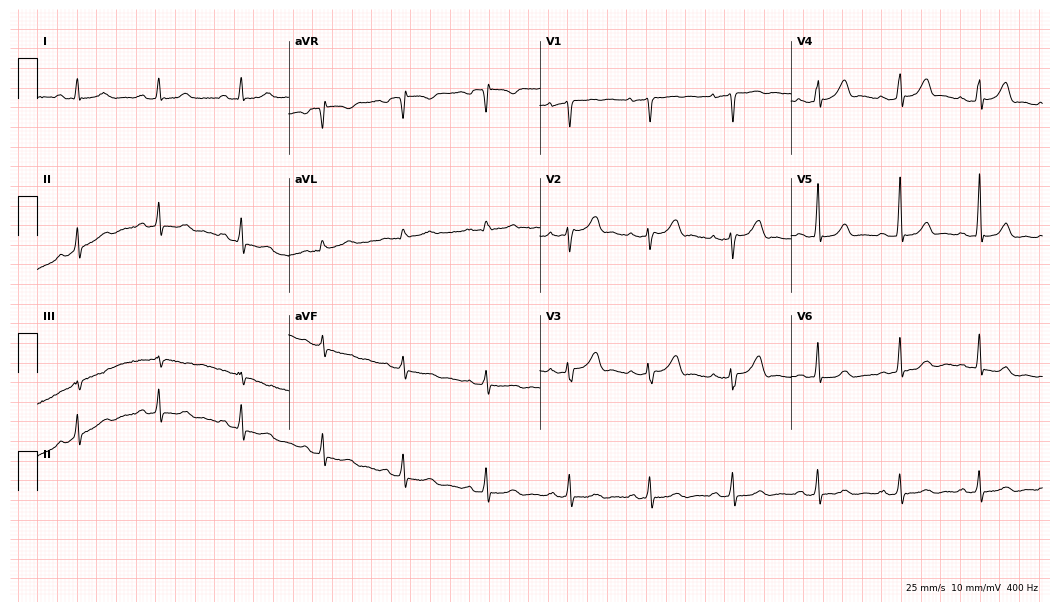
12-lead ECG from a 35-year-old female (10.2-second recording at 400 Hz). No first-degree AV block, right bundle branch block (RBBB), left bundle branch block (LBBB), sinus bradycardia, atrial fibrillation (AF) or sinus tachycardia recorded for this tracing. Other findings, if any, are not listed.